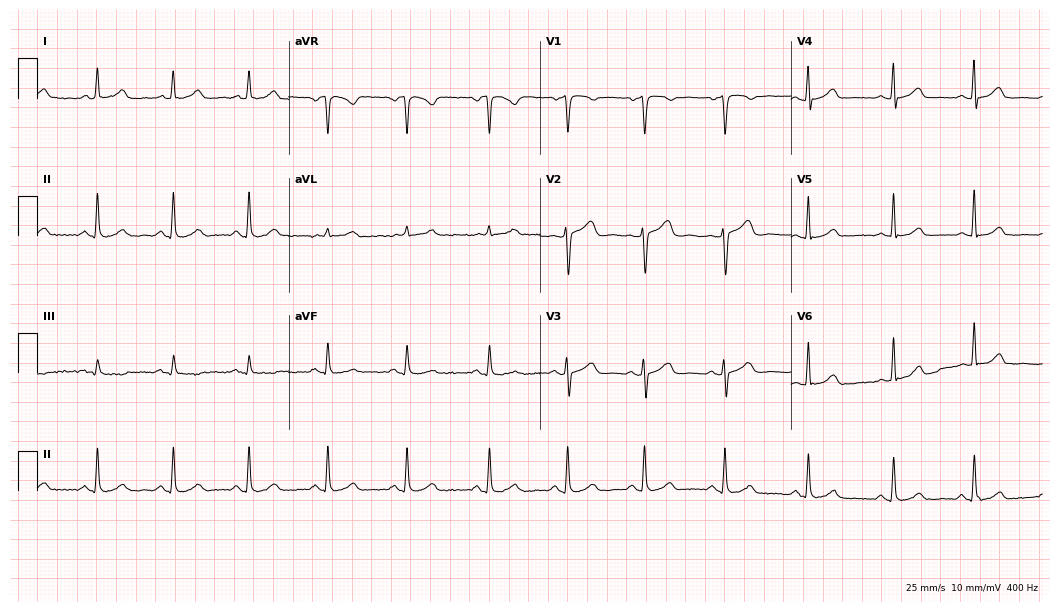
ECG (10.2-second recording at 400 Hz) — a 51-year-old female patient. Screened for six findings — first-degree AV block, right bundle branch block, left bundle branch block, sinus bradycardia, atrial fibrillation, sinus tachycardia — none is recorded. Other findings, if any, are not listed.